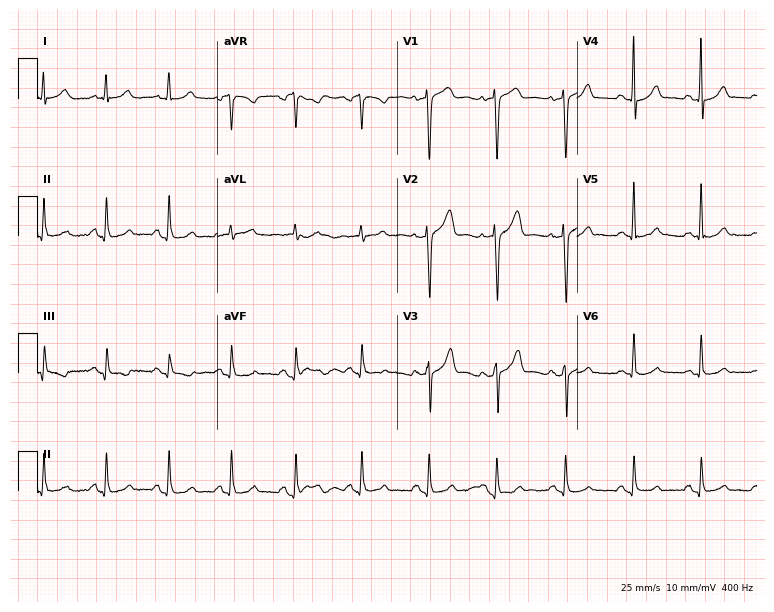
Resting 12-lead electrocardiogram. Patient: a woman, 64 years old. None of these six findings is recorded: first-degree AV block, right bundle branch block, left bundle branch block, sinus bradycardia, atrial fibrillation, sinus tachycardia.